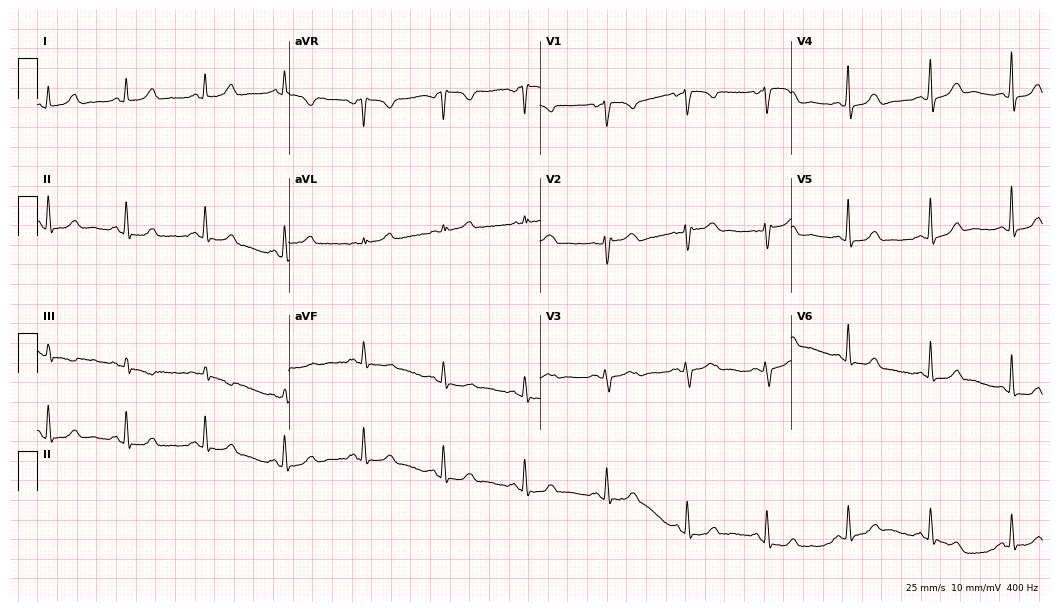
12-lead ECG from a woman, 42 years old (10.2-second recording at 400 Hz). Recorded interpretation: within normal limits.